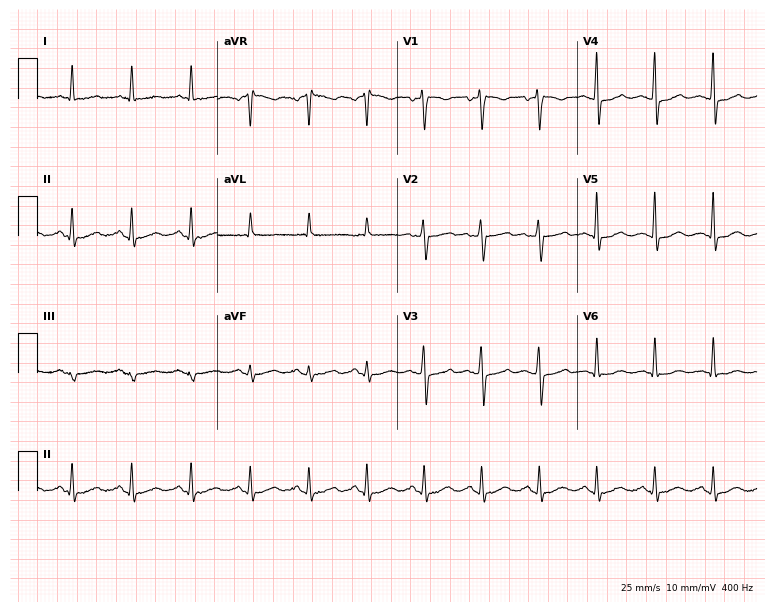
ECG — a female, 52 years old. Findings include sinus tachycardia (a sinus rate of 100 beats per minute or more).